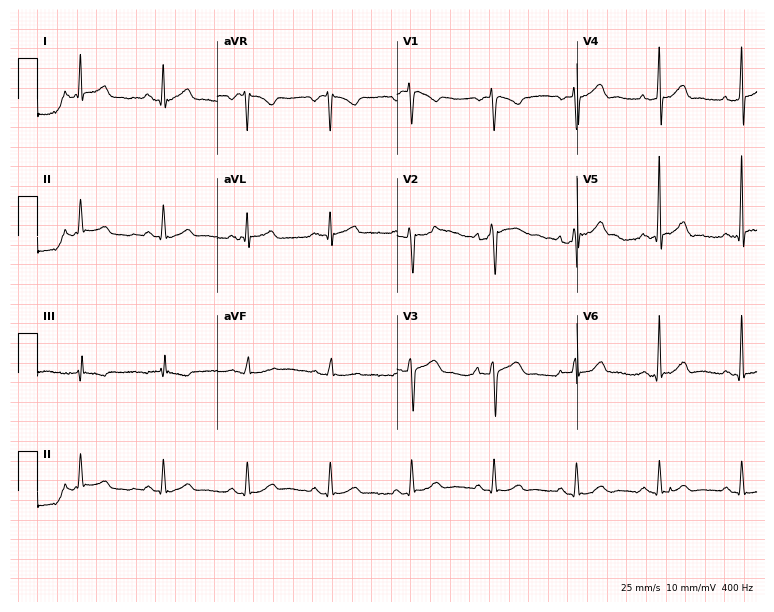
Standard 12-lead ECG recorded from a 45-year-old male patient (7.3-second recording at 400 Hz). Read as a normal ECG.